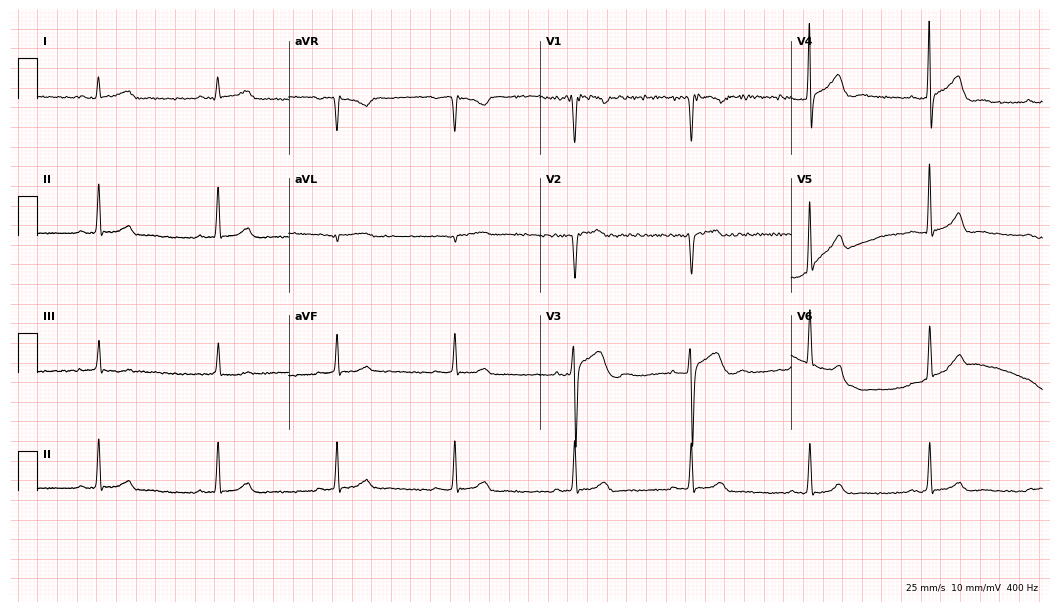
Electrocardiogram, a 26-year-old female patient. Overall reading on record: normal ECG.